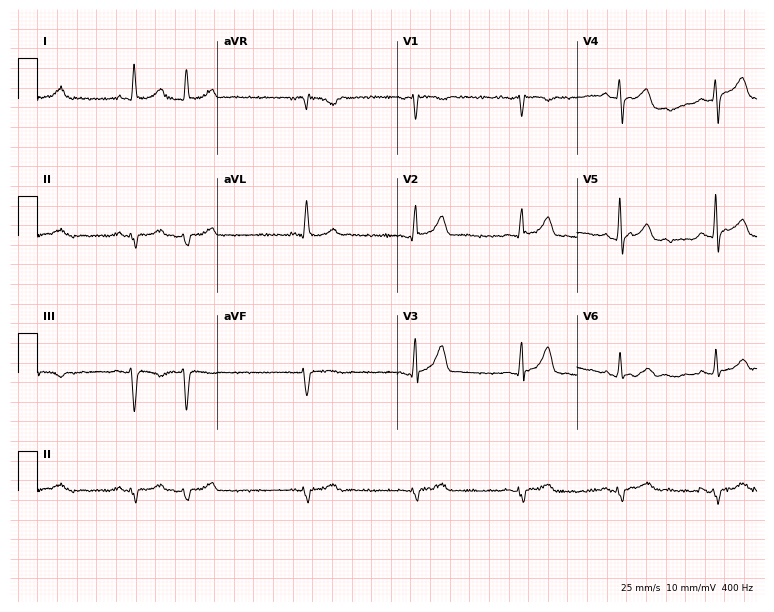
12-lead ECG from a man, 74 years old. Screened for six findings — first-degree AV block, right bundle branch block (RBBB), left bundle branch block (LBBB), sinus bradycardia, atrial fibrillation (AF), sinus tachycardia — none is recorded.